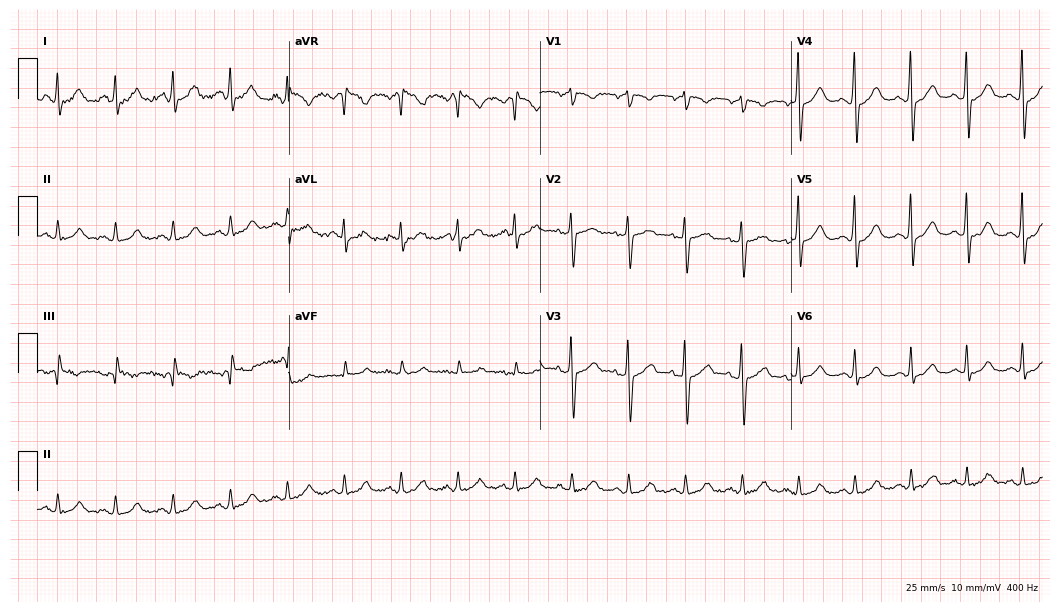
ECG (10.2-second recording at 400 Hz) — a 43-year-old woman. Screened for six findings — first-degree AV block, right bundle branch block, left bundle branch block, sinus bradycardia, atrial fibrillation, sinus tachycardia — none is recorded. Other findings, if any, are not listed.